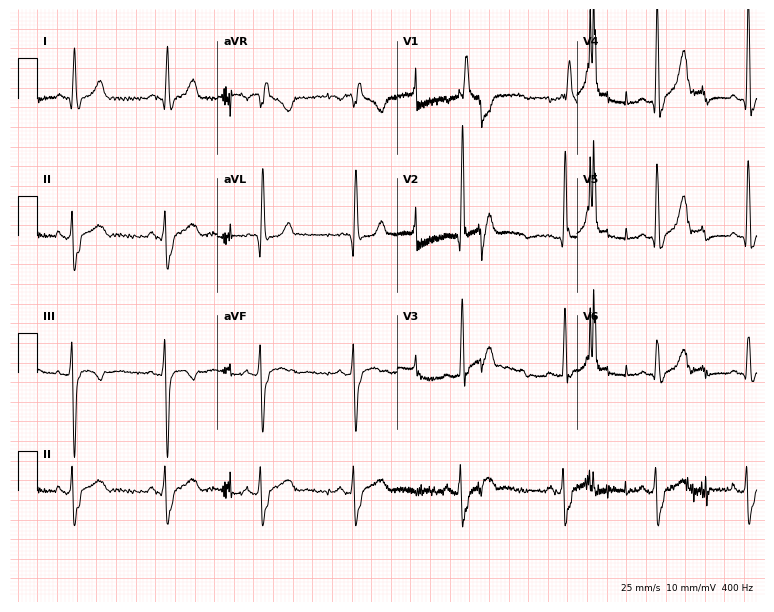
ECG (7.3-second recording at 400 Hz) — a male, 58 years old. Findings include right bundle branch block (RBBB).